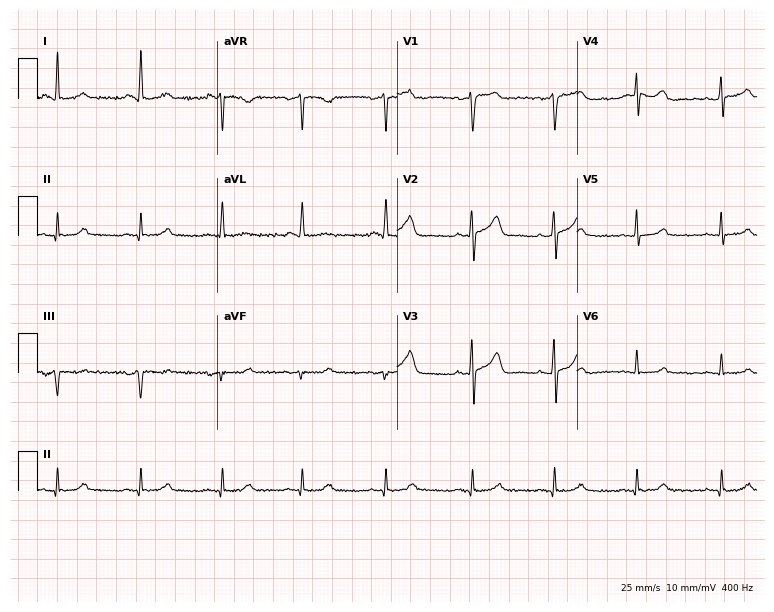
ECG — a female patient, 55 years old. Labelled as a normal ECG.